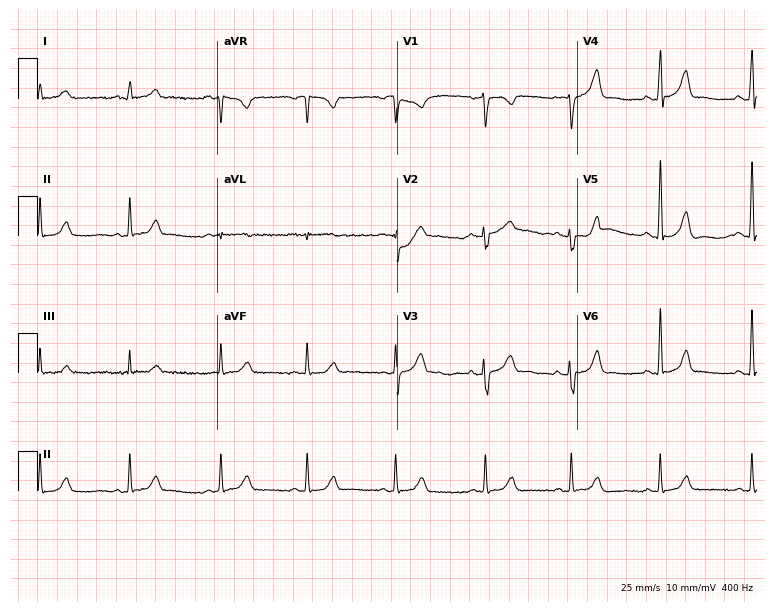
Standard 12-lead ECG recorded from a 46-year-old female patient (7.3-second recording at 400 Hz). None of these six findings is recorded: first-degree AV block, right bundle branch block (RBBB), left bundle branch block (LBBB), sinus bradycardia, atrial fibrillation (AF), sinus tachycardia. Only these six findings were labelled.